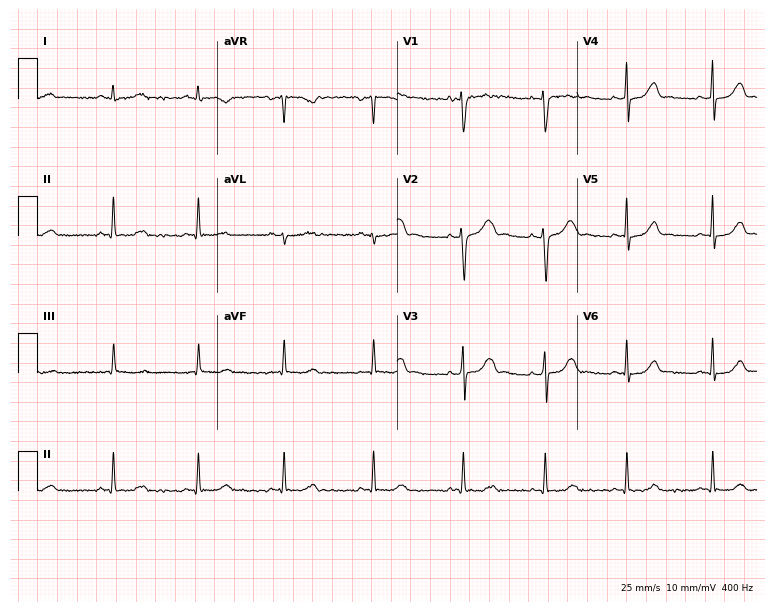
Electrocardiogram, a 28-year-old female. Of the six screened findings (first-degree AV block, right bundle branch block (RBBB), left bundle branch block (LBBB), sinus bradycardia, atrial fibrillation (AF), sinus tachycardia), none is recorded.